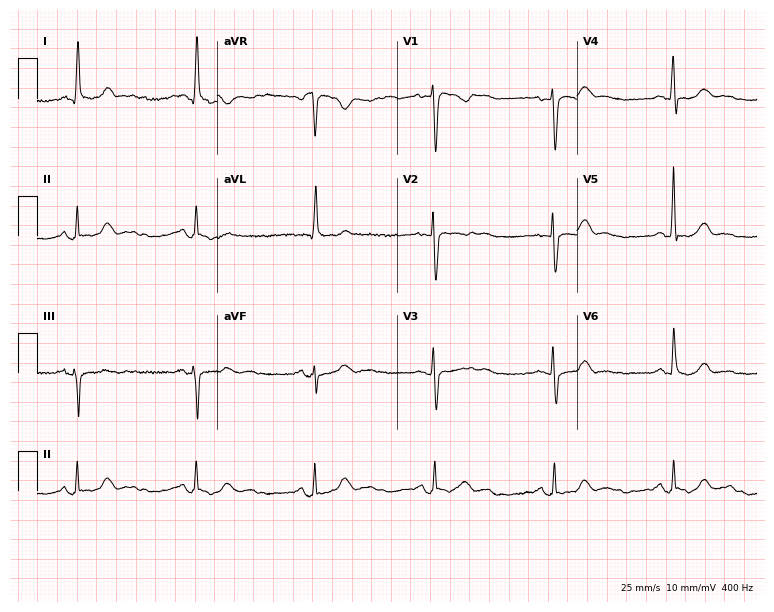
ECG (7.3-second recording at 400 Hz) — a 68-year-old woman. Findings include sinus bradycardia (a sinus rate of 50 beats per minute or less).